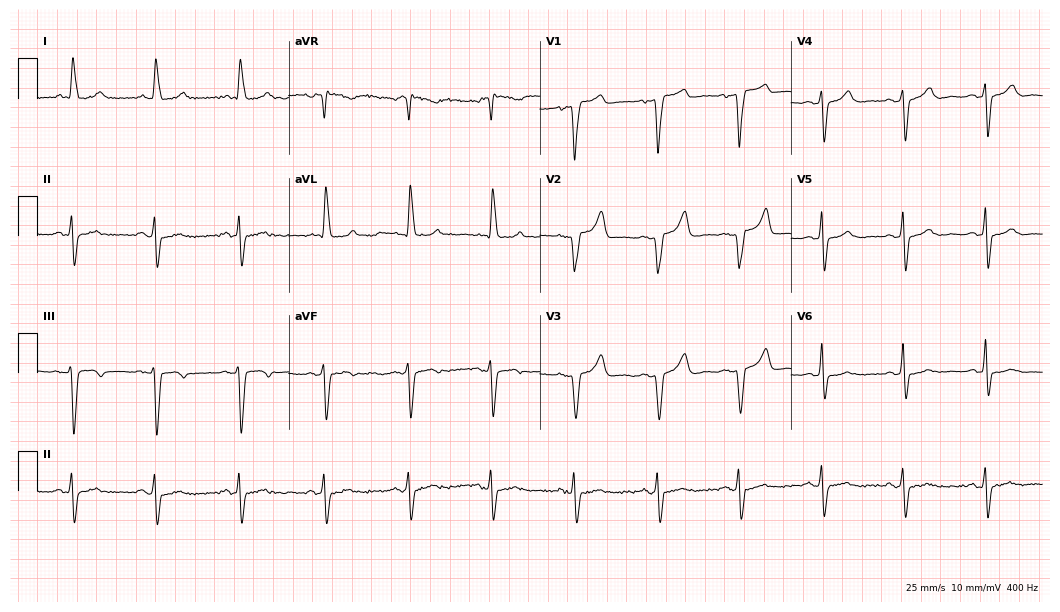
Electrocardiogram, a 77-year-old woman. Of the six screened findings (first-degree AV block, right bundle branch block, left bundle branch block, sinus bradycardia, atrial fibrillation, sinus tachycardia), none is recorded.